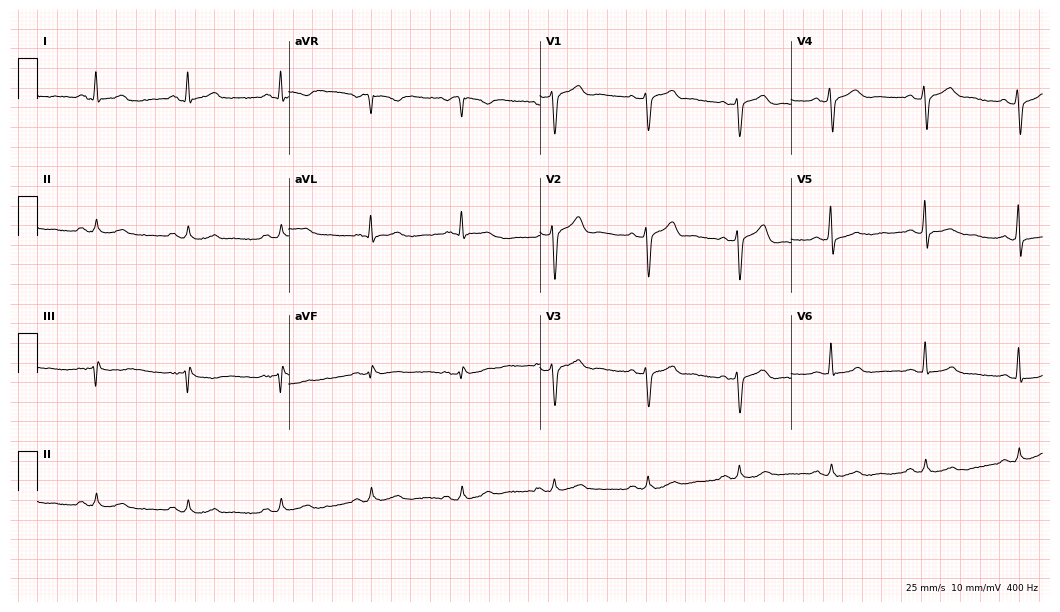
Standard 12-lead ECG recorded from a 42-year-old man (10.2-second recording at 400 Hz). Read as a normal ECG.